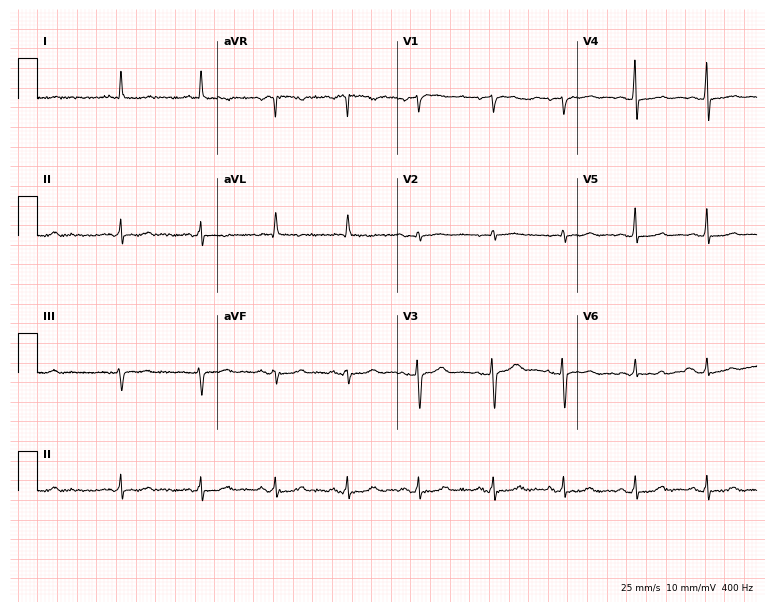
12-lead ECG from an 83-year-old woman. Screened for six findings — first-degree AV block, right bundle branch block, left bundle branch block, sinus bradycardia, atrial fibrillation, sinus tachycardia — none is recorded.